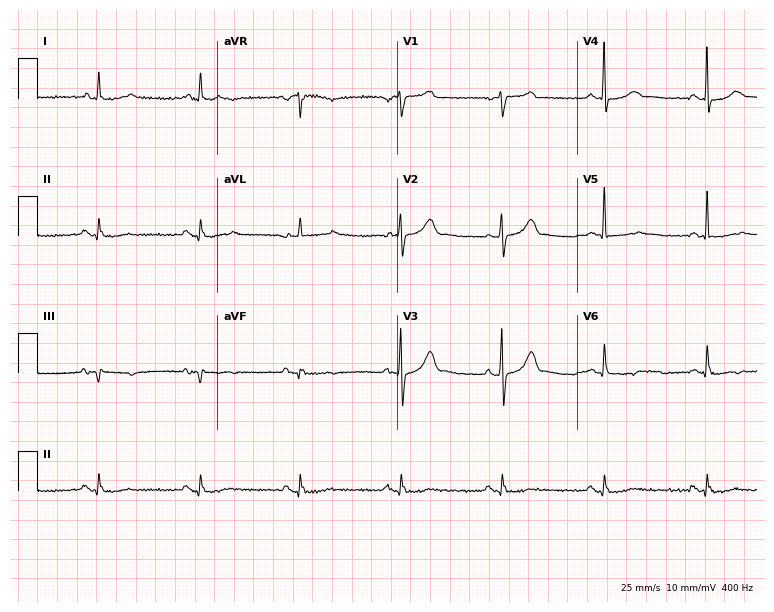
12-lead ECG from a 73-year-old male. Screened for six findings — first-degree AV block, right bundle branch block, left bundle branch block, sinus bradycardia, atrial fibrillation, sinus tachycardia — none is recorded. Only these six findings were labelled.